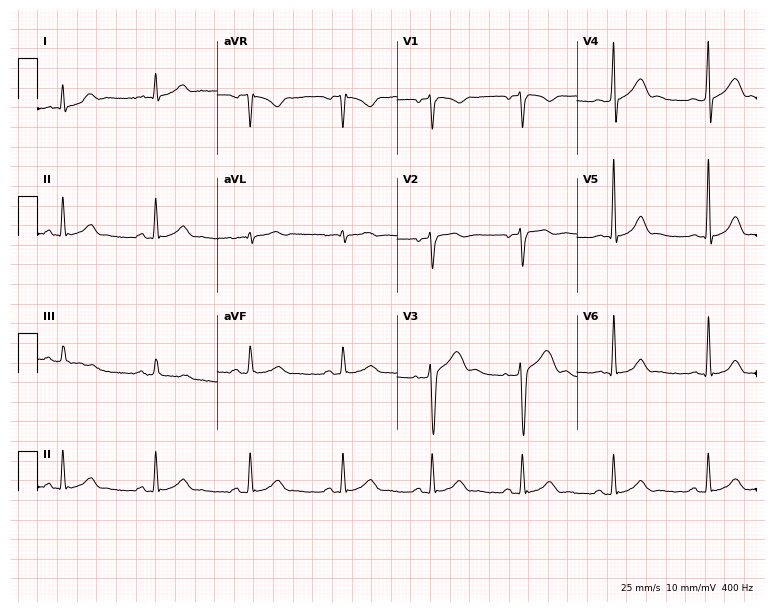
12-lead ECG from a 27-year-old male (7.3-second recording at 400 Hz). No first-degree AV block, right bundle branch block, left bundle branch block, sinus bradycardia, atrial fibrillation or sinus tachycardia recorded for this tracing.